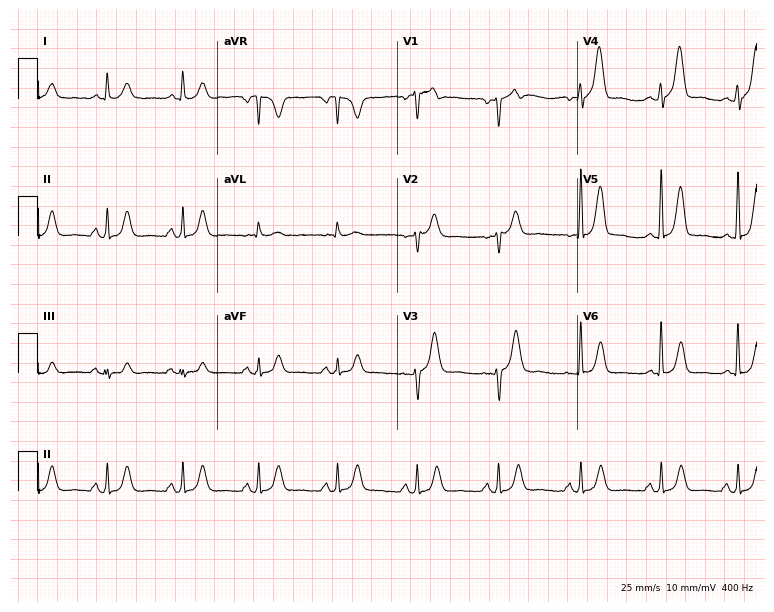
12-lead ECG from a 55-year-old woman. Labelled as a normal ECG.